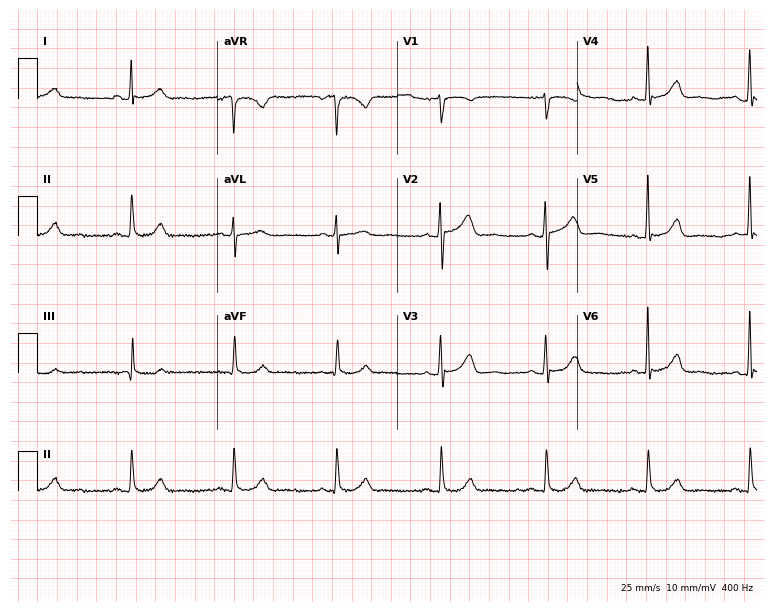
Standard 12-lead ECG recorded from a male, 51 years old (7.3-second recording at 400 Hz). Read as a normal ECG.